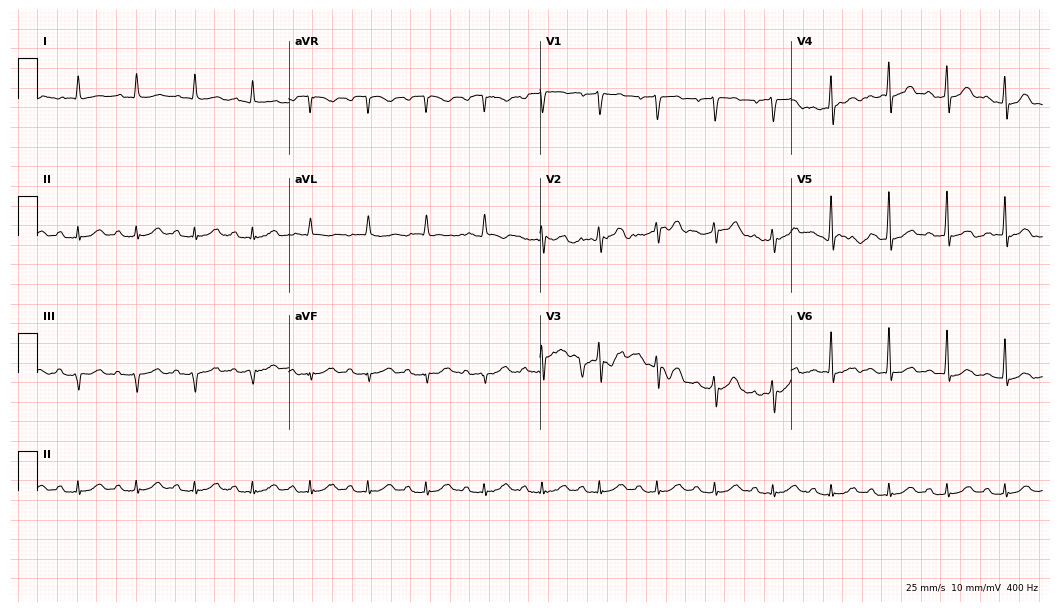
Standard 12-lead ECG recorded from a man, 82 years old. None of these six findings is recorded: first-degree AV block, right bundle branch block, left bundle branch block, sinus bradycardia, atrial fibrillation, sinus tachycardia. Only these six findings were labelled.